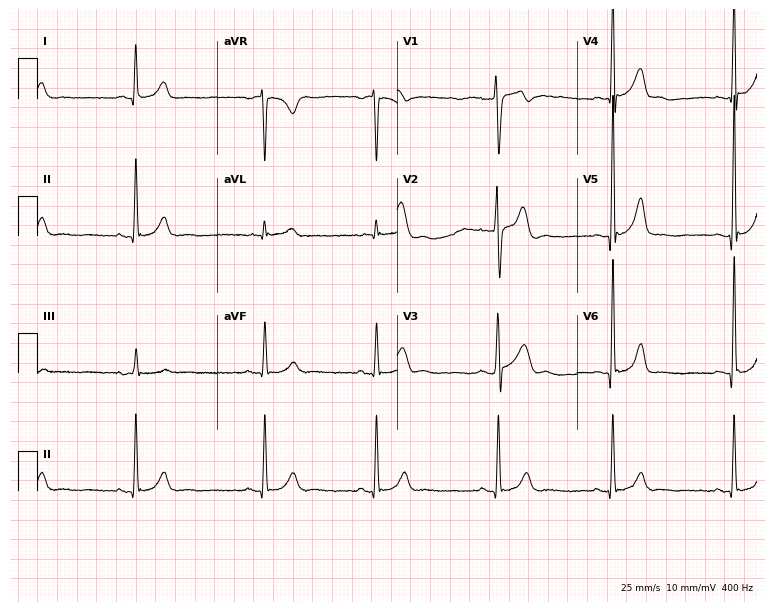
12-lead ECG from a 29-year-old male. Shows sinus bradycardia (a sinus rate of 50 beats per minute or less).